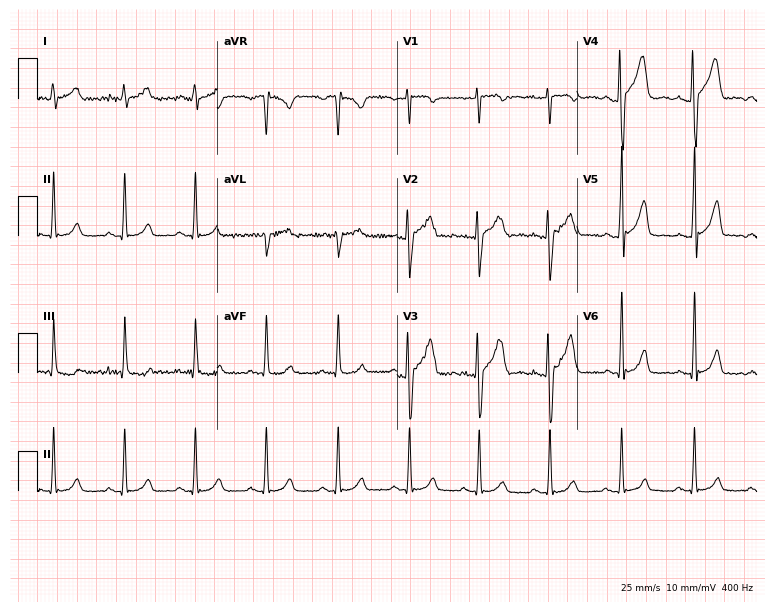
12-lead ECG (7.3-second recording at 400 Hz) from a man, 21 years old. Labelled as a normal ECG.